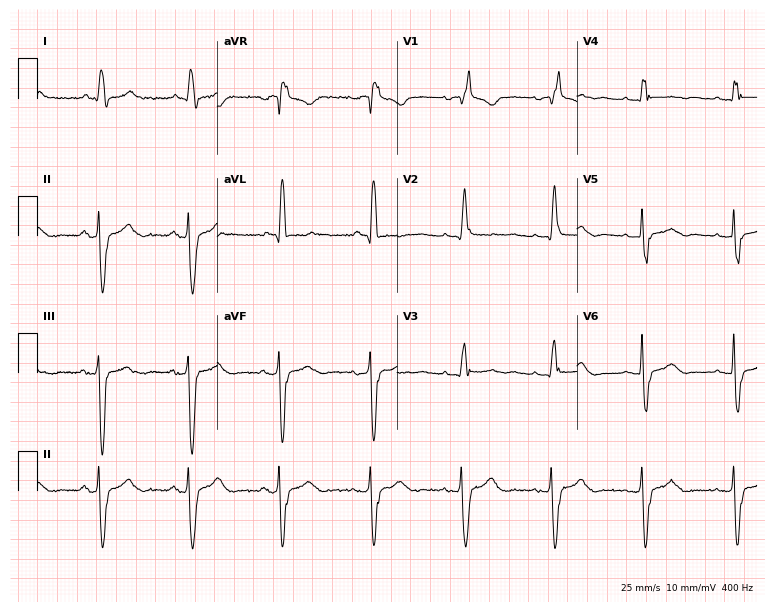
Resting 12-lead electrocardiogram (7.3-second recording at 400 Hz). Patient: a 77-year-old woman. The tracing shows right bundle branch block.